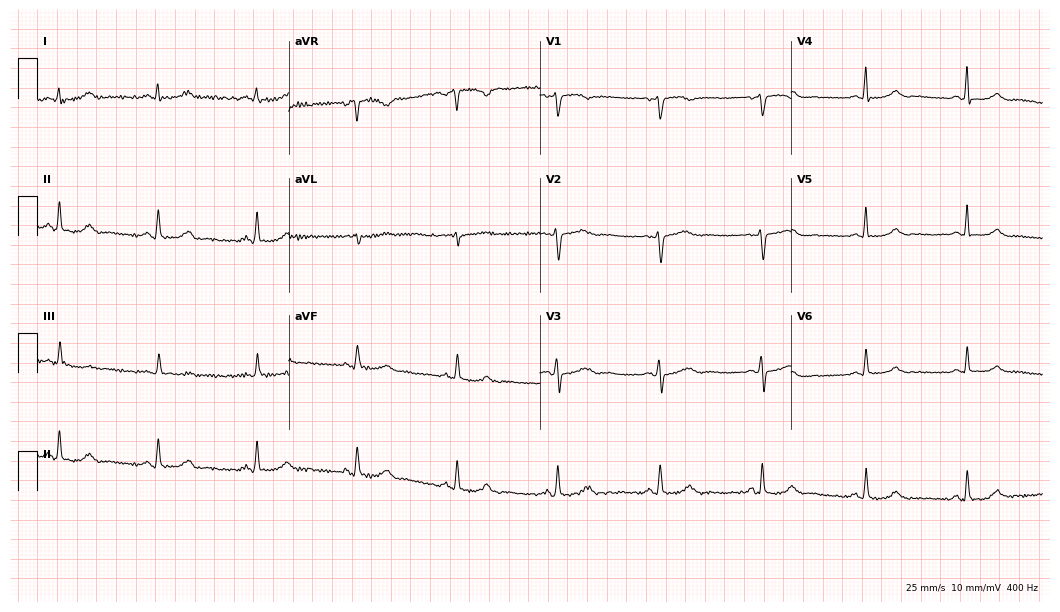
ECG (10.2-second recording at 400 Hz) — a 50-year-old woman. Labelled as a normal ECG.